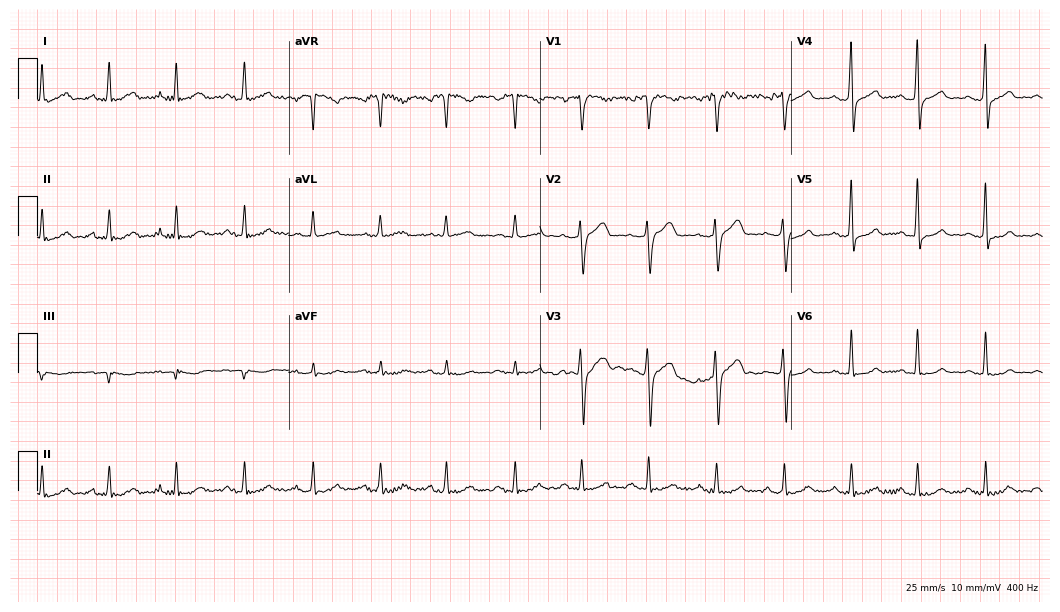
12-lead ECG from a man, 49 years old. Recorded interpretation: within normal limits.